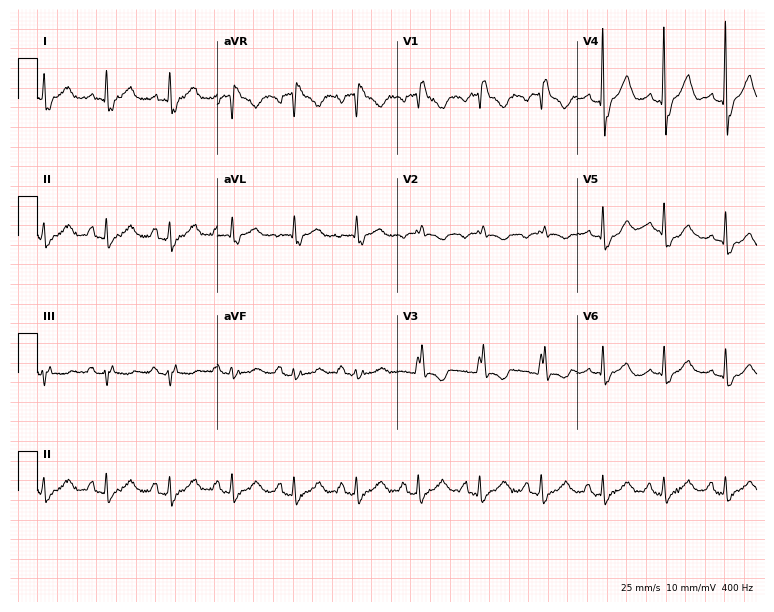
12-lead ECG (7.3-second recording at 400 Hz) from a woman, 75 years old. Screened for six findings — first-degree AV block, right bundle branch block, left bundle branch block, sinus bradycardia, atrial fibrillation, sinus tachycardia — none is recorded.